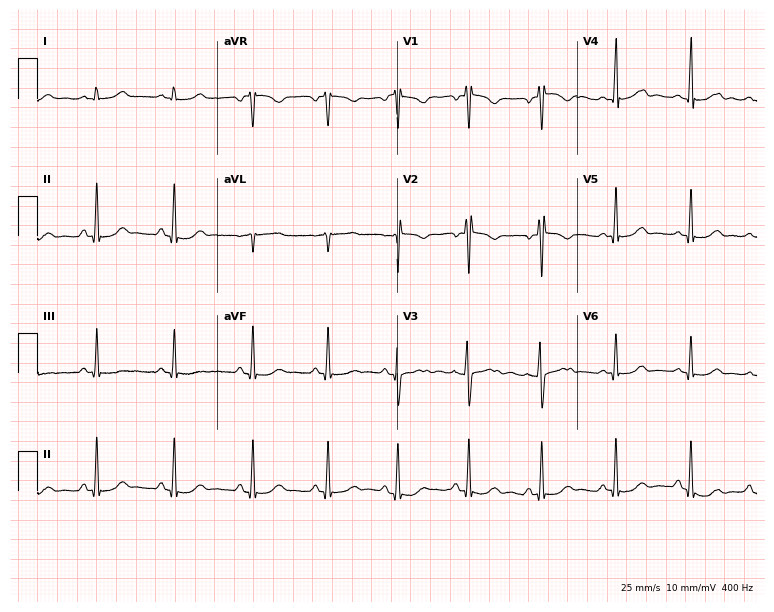
Standard 12-lead ECG recorded from a female patient, 21 years old. Read as a normal ECG.